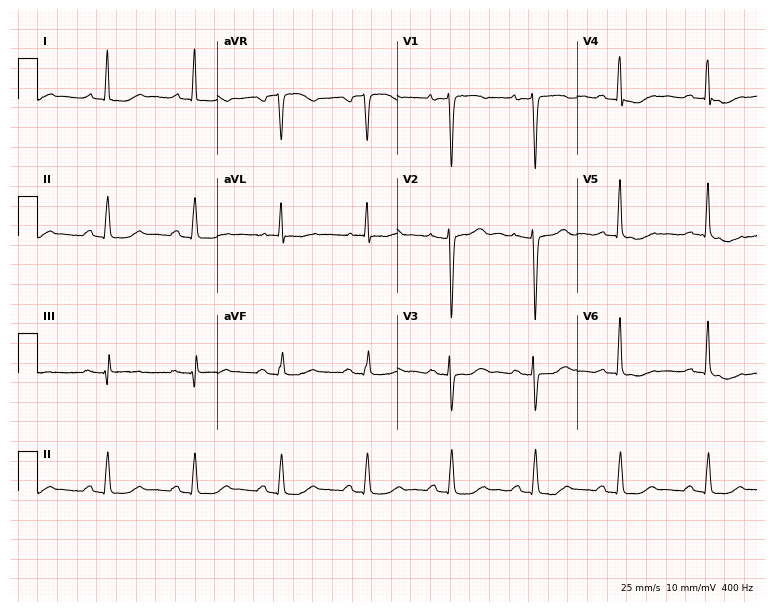
12-lead ECG from a 52-year-old woman. Screened for six findings — first-degree AV block, right bundle branch block, left bundle branch block, sinus bradycardia, atrial fibrillation, sinus tachycardia — none is recorded. Only these six findings were labelled.